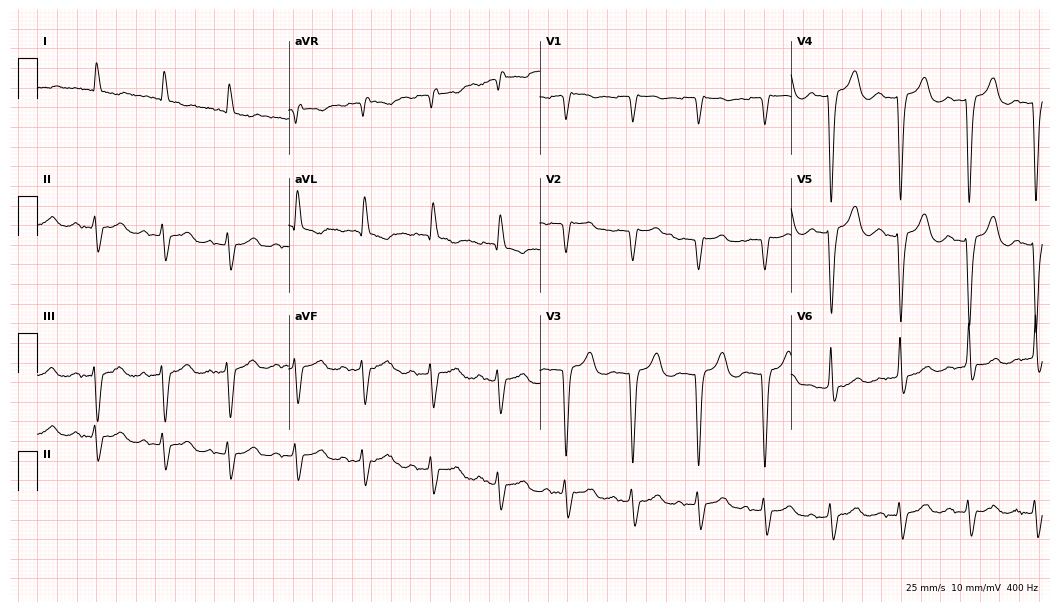
12-lead ECG from a 70-year-old woman (10.2-second recording at 400 Hz). No first-degree AV block, right bundle branch block, left bundle branch block, sinus bradycardia, atrial fibrillation or sinus tachycardia recorded for this tracing. Other findings, if any, are not listed.